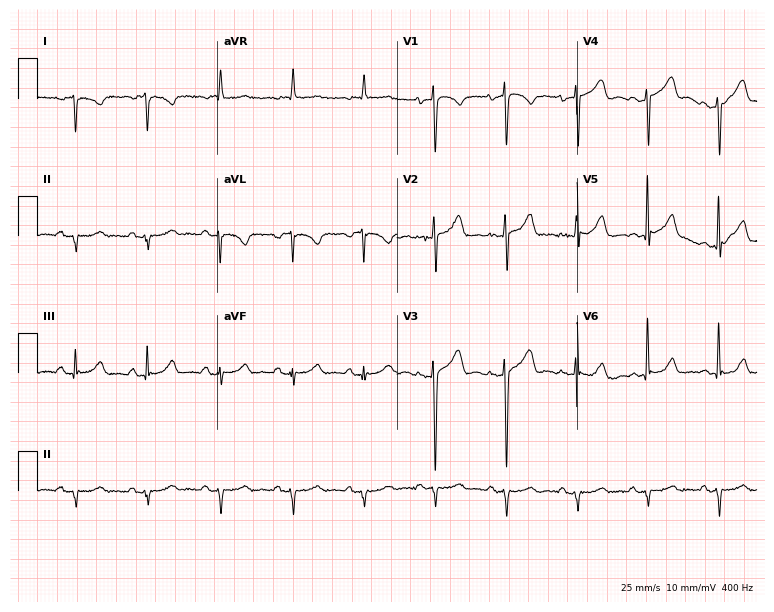
Standard 12-lead ECG recorded from a woman, 72 years old. Read as a normal ECG.